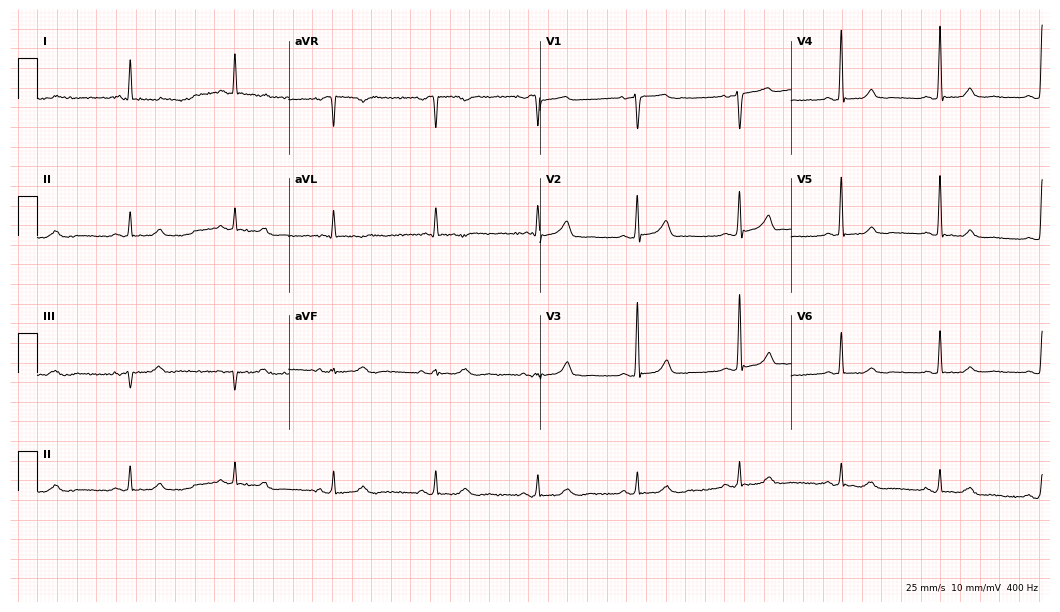
Resting 12-lead electrocardiogram. Patient: a 64-year-old female. Read as a normal ECG.